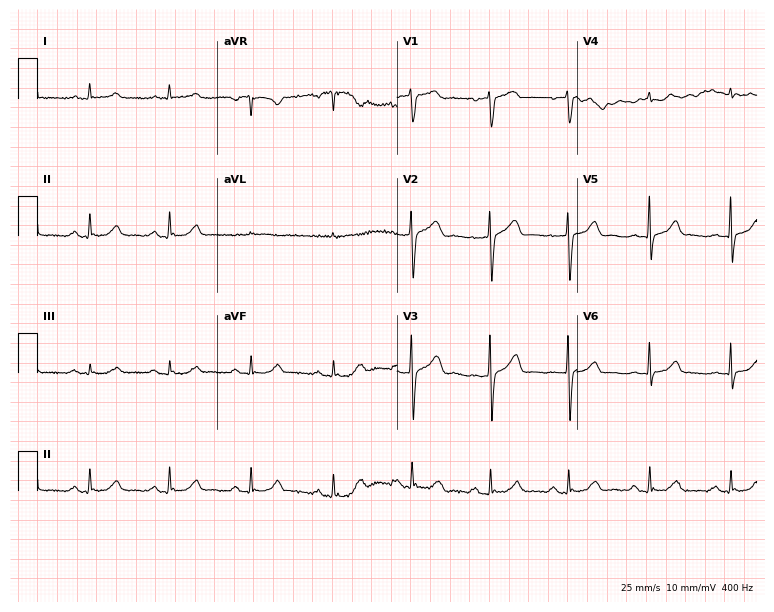
12-lead ECG (7.3-second recording at 400 Hz) from a 49-year-old male patient. Screened for six findings — first-degree AV block, right bundle branch block, left bundle branch block, sinus bradycardia, atrial fibrillation, sinus tachycardia — none is recorded.